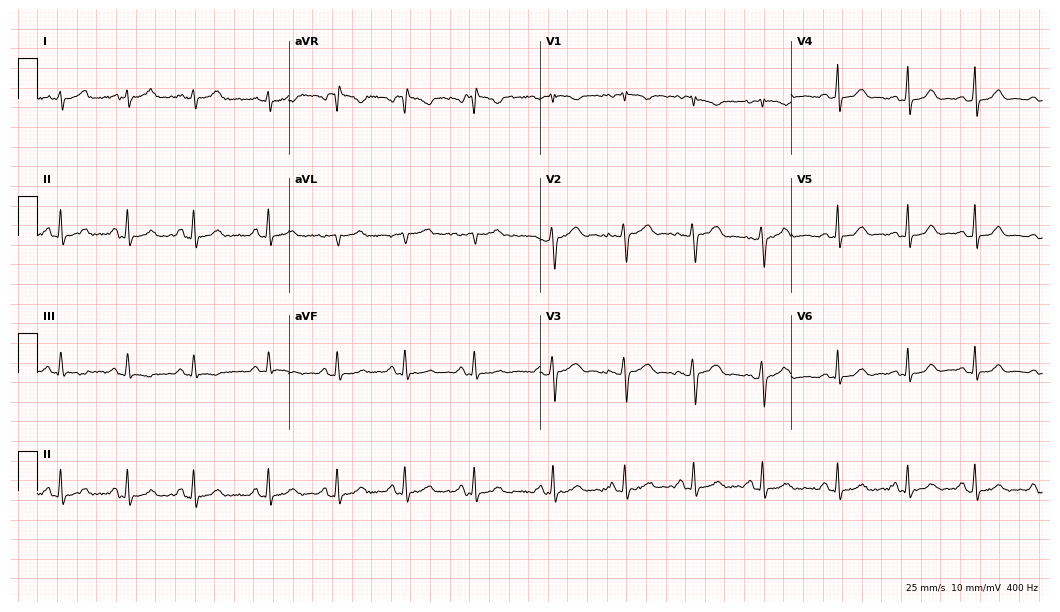
Resting 12-lead electrocardiogram (10.2-second recording at 400 Hz). Patient: a female, 26 years old. Read as a normal ECG.